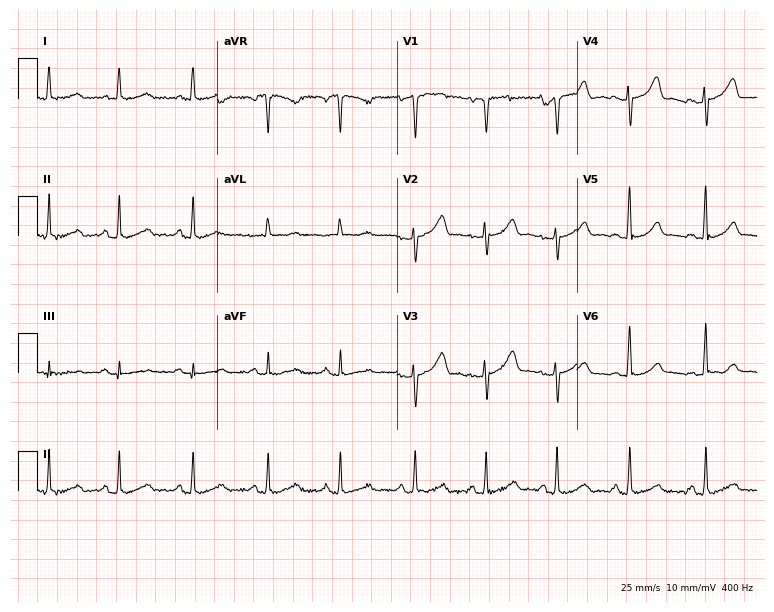
Resting 12-lead electrocardiogram (7.3-second recording at 400 Hz). Patient: a 39-year-old female. Read as a normal ECG.